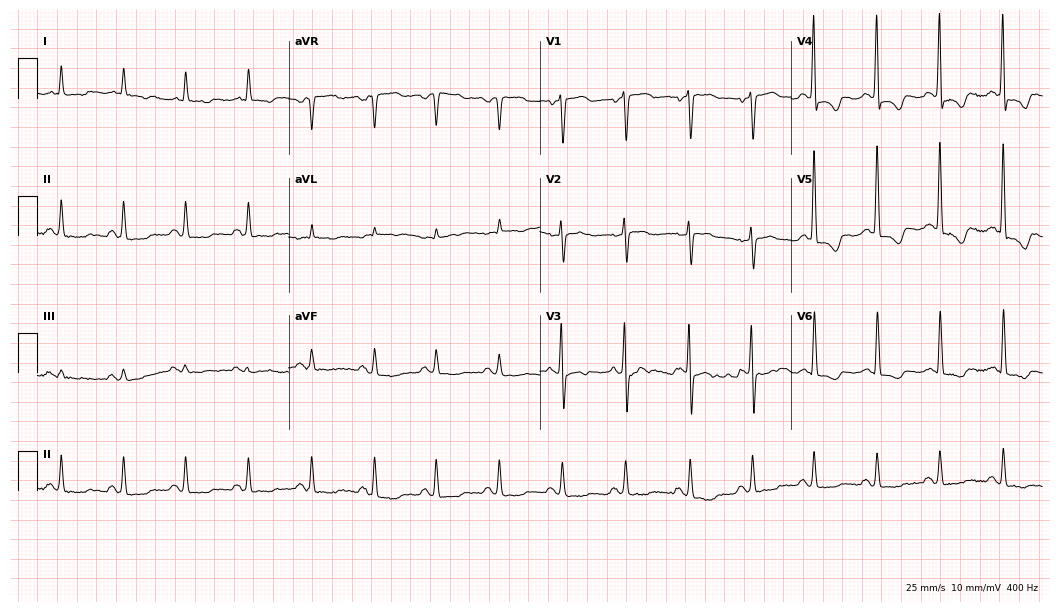
12-lead ECG (10.2-second recording at 400 Hz) from a 79-year-old man. Screened for six findings — first-degree AV block, right bundle branch block, left bundle branch block, sinus bradycardia, atrial fibrillation, sinus tachycardia — none is recorded.